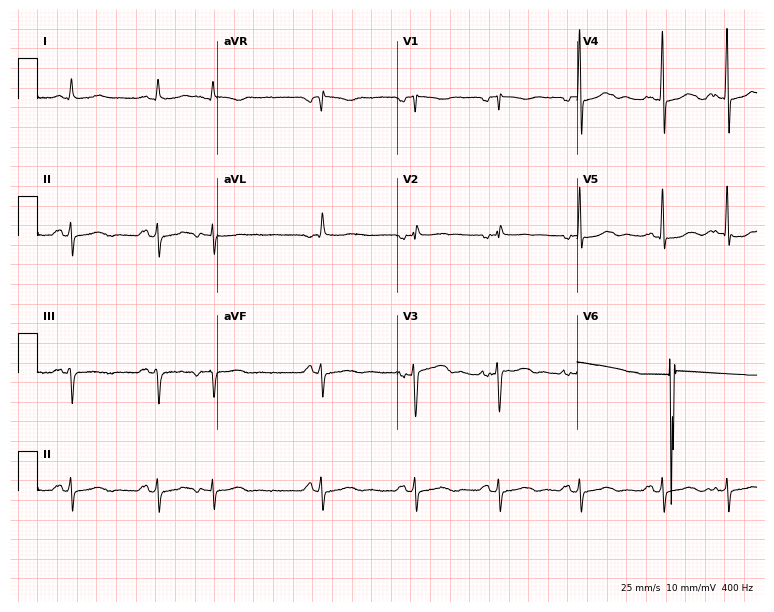
12-lead ECG from a 51-year-old female. Screened for six findings — first-degree AV block, right bundle branch block, left bundle branch block, sinus bradycardia, atrial fibrillation, sinus tachycardia — none is recorded.